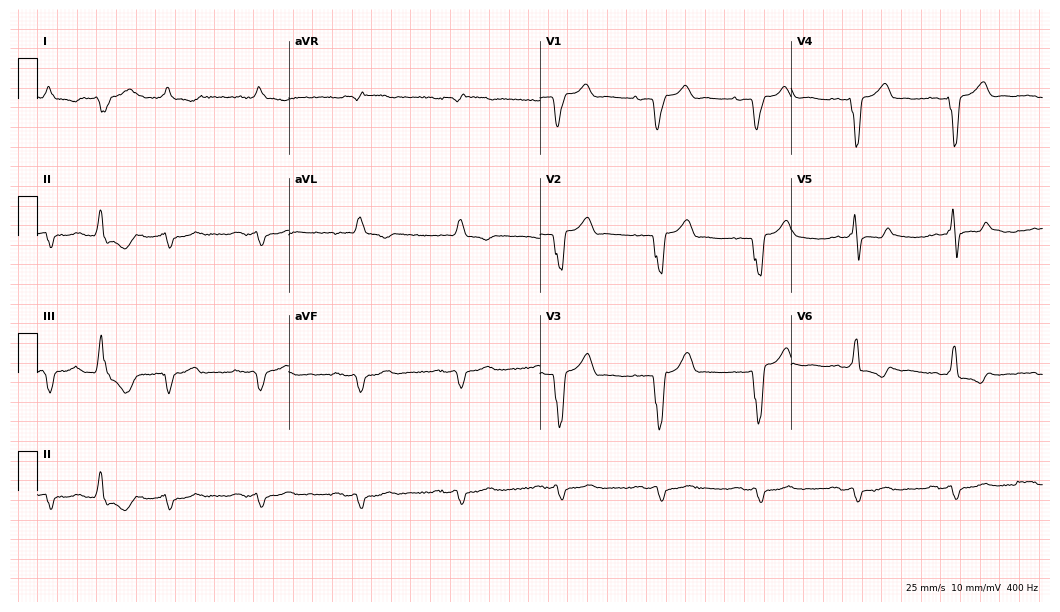
Resting 12-lead electrocardiogram (10.2-second recording at 400 Hz). Patient: a 79-year-old male. The tracing shows left bundle branch block (LBBB).